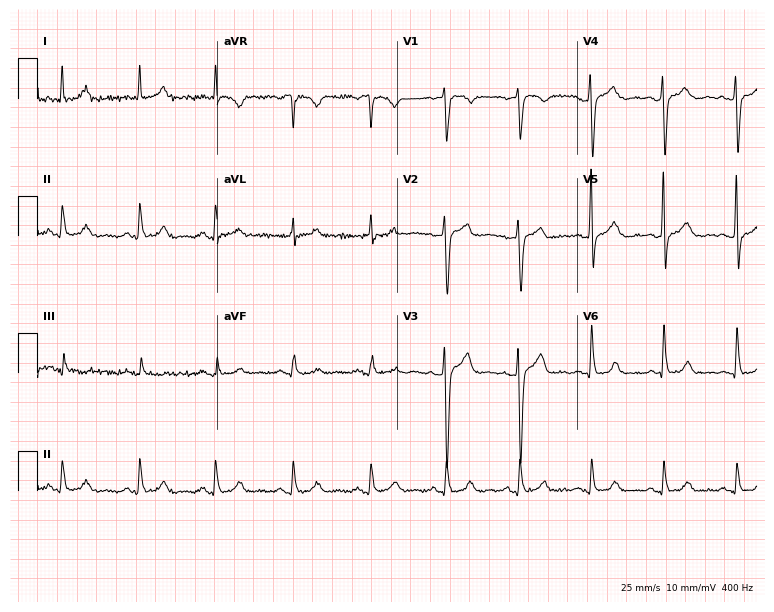
ECG — a man, 41 years old. Screened for six findings — first-degree AV block, right bundle branch block (RBBB), left bundle branch block (LBBB), sinus bradycardia, atrial fibrillation (AF), sinus tachycardia — none is recorded. Other findings, if any, are not listed.